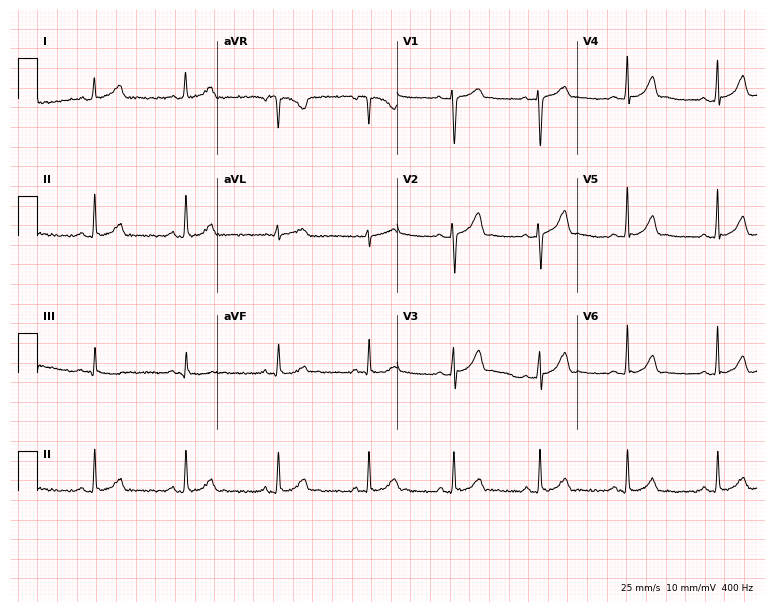
Electrocardiogram (7.3-second recording at 400 Hz), a 25-year-old female patient. Overall reading on record: normal ECG.